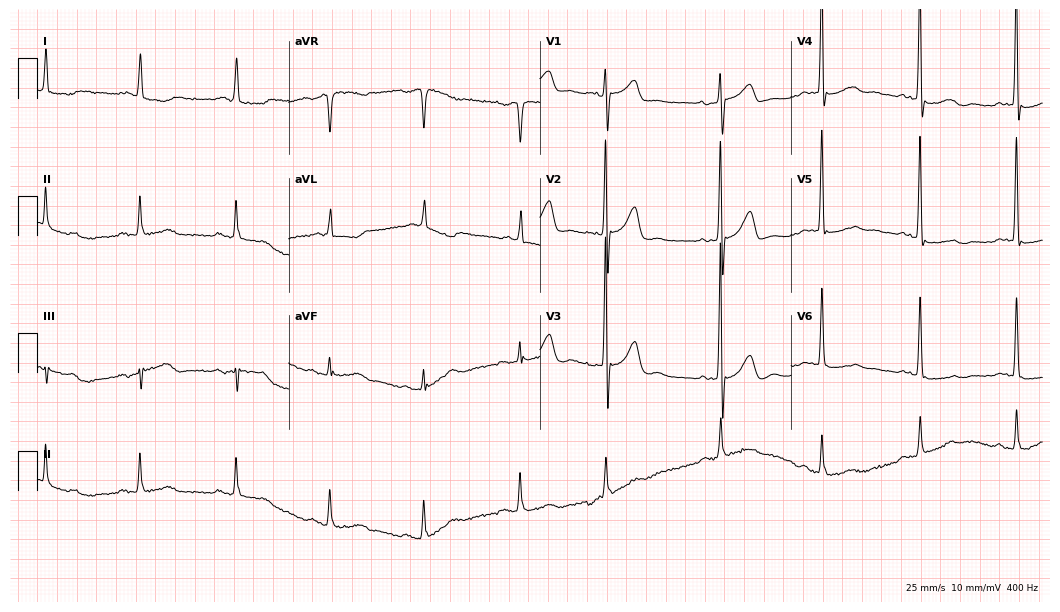
Resting 12-lead electrocardiogram. Patient: a female, 72 years old. Read as a normal ECG.